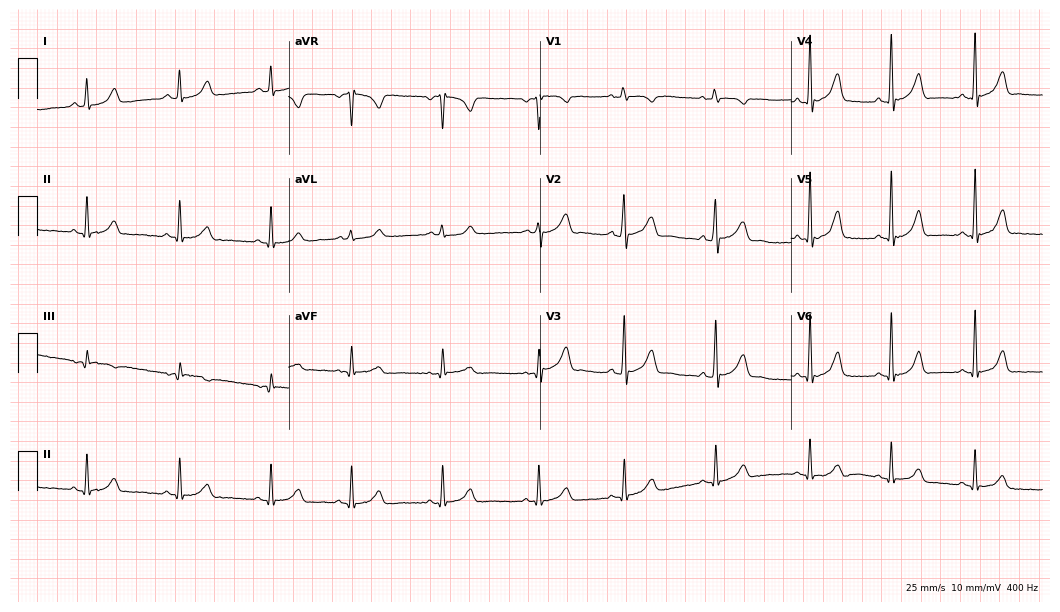
ECG (10.2-second recording at 400 Hz) — a 19-year-old woman. Labelled as a normal ECG.